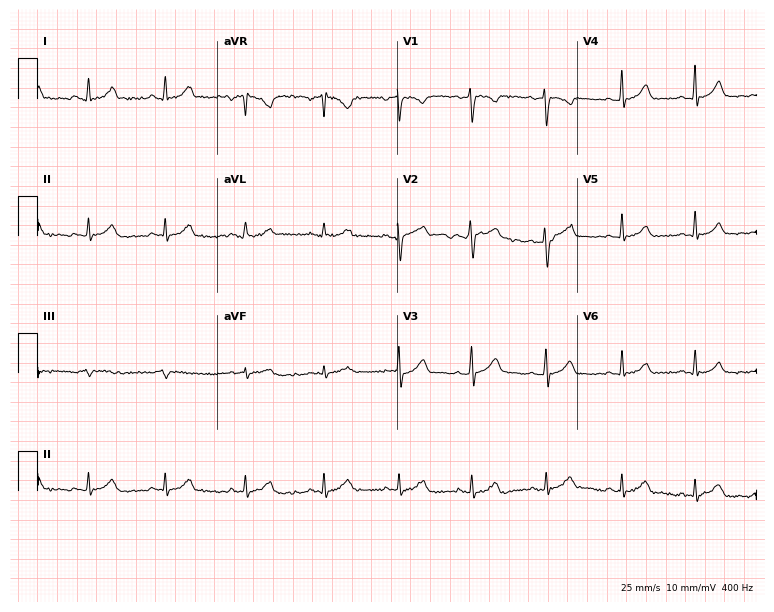
Electrocardiogram (7.3-second recording at 400 Hz), a 31-year-old female patient. Of the six screened findings (first-degree AV block, right bundle branch block, left bundle branch block, sinus bradycardia, atrial fibrillation, sinus tachycardia), none is recorded. Only these six findings were labelled.